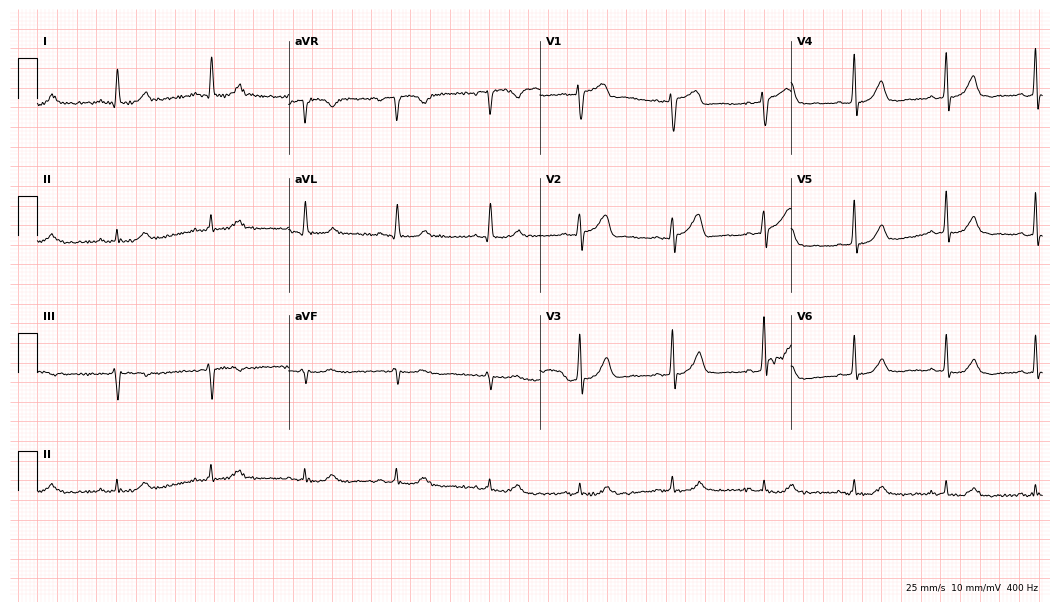
ECG — a 55-year-old man. Screened for six findings — first-degree AV block, right bundle branch block, left bundle branch block, sinus bradycardia, atrial fibrillation, sinus tachycardia — none is recorded.